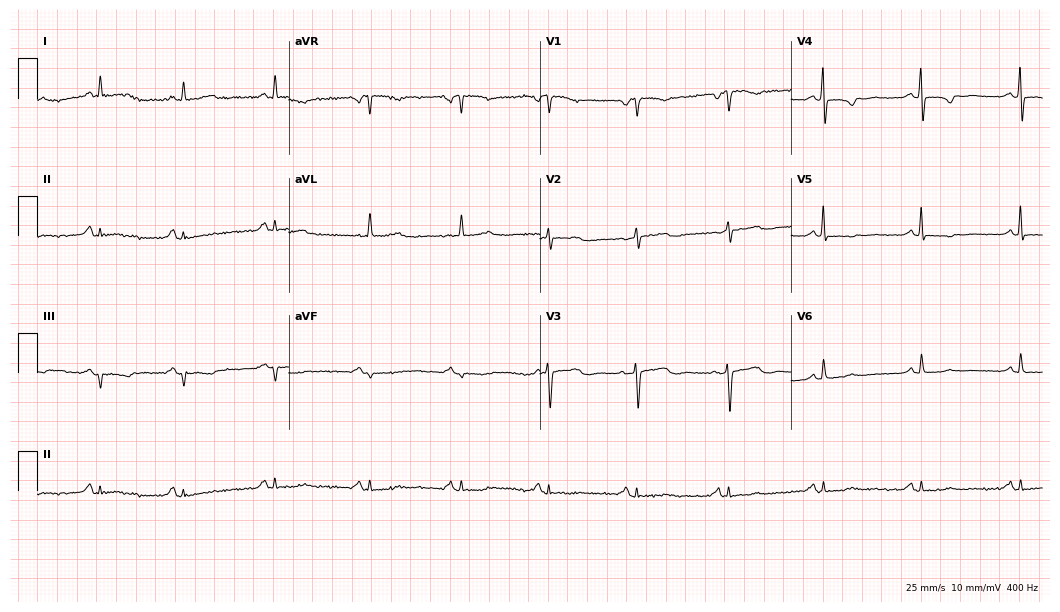
Electrocardiogram (10.2-second recording at 400 Hz), a female, 67 years old. Of the six screened findings (first-degree AV block, right bundle branch block, left bundle branch block, sinus bradycardia, atrial fibrillation, sinus tachycardia), none is recorded.